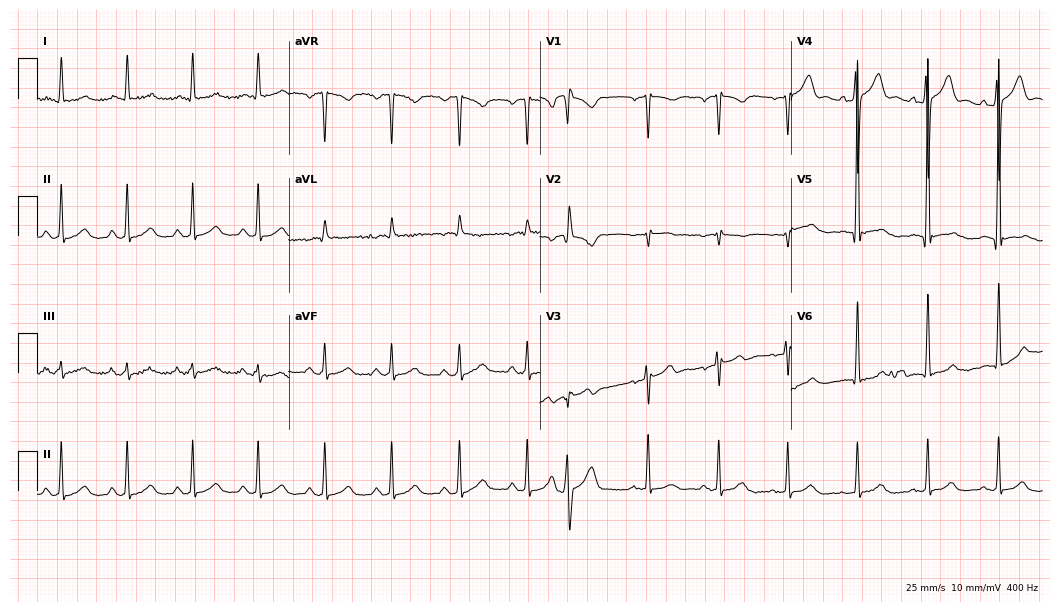
Resting 12-lead electrocardiogram. Patient: a male, 80 years old. None of these six findings is recorded: first-degree AV block, right bundle branch block, left bundle branch block, sinus bradycardia, atrial fibrillation, sinus tachycardia. Only these six findings were labelled.